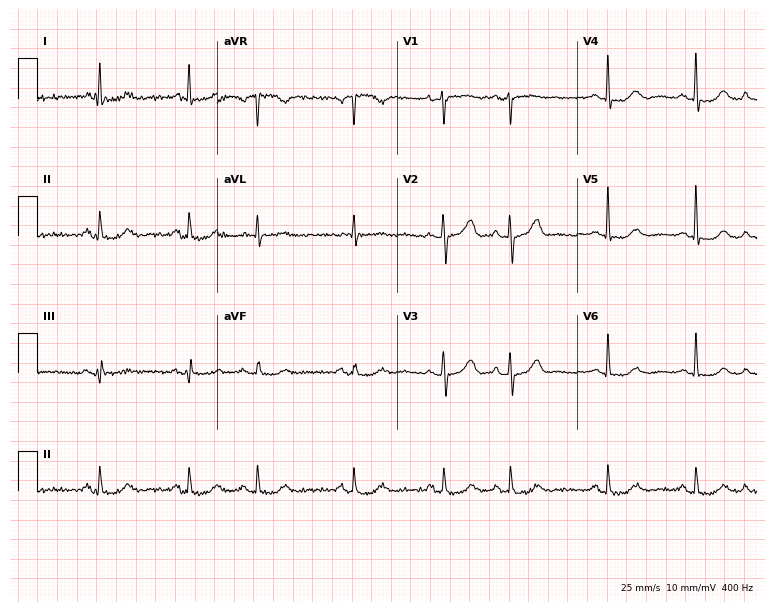
Resting 12-lead electrocardiogram (7.3-second recording at 400 Hz). Patient: a 66-year-old female. None of these six findings is recorded: first-degree AV block, right bundle branch block, left bundle branch block, sinus bradycardia, atrial fibrillation, sinus tachycardia.